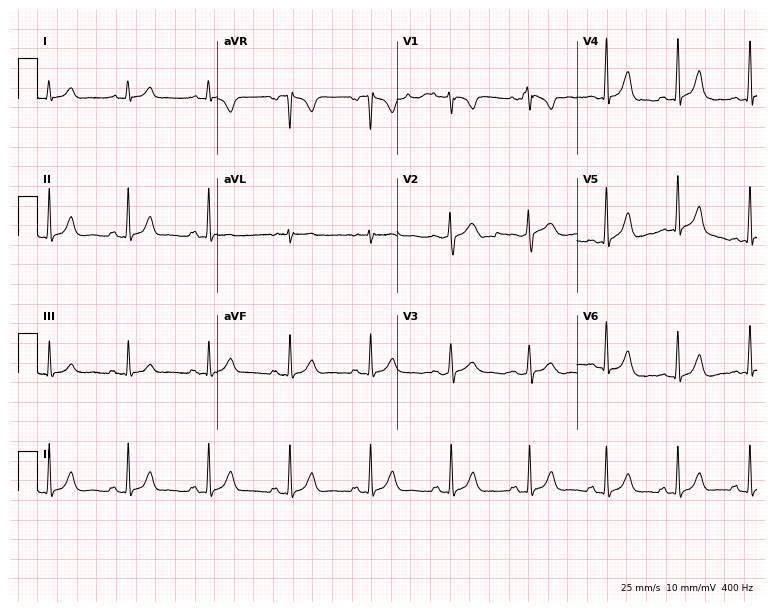
12-lead ECG from a 21-year-old female patient. No first-degree AV block, right bundle branch block, left bundle branch block, sinus bradycardia, atrial fibrillation or sinus tachycardia recorded for this tracing. Findings outside these six are not listed.